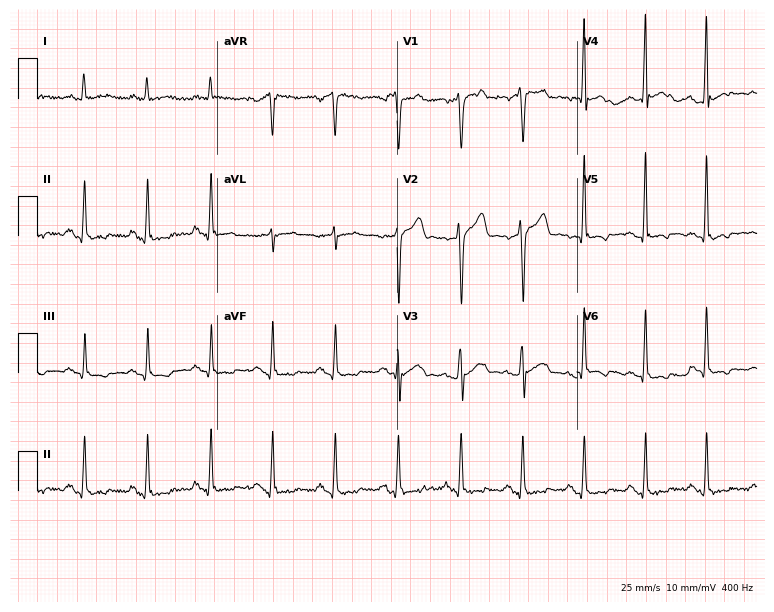
Electrocardiogram (7.3-second recording at 400 Hz), a man, 48 years old. Of the six screened findings (first-degree AV block, right bundle branch block (RBBB), left bundle branch block (LBBB), sinus bradycardia, atrial fibrillation (AF), sinus tachycardia), none is recorded.